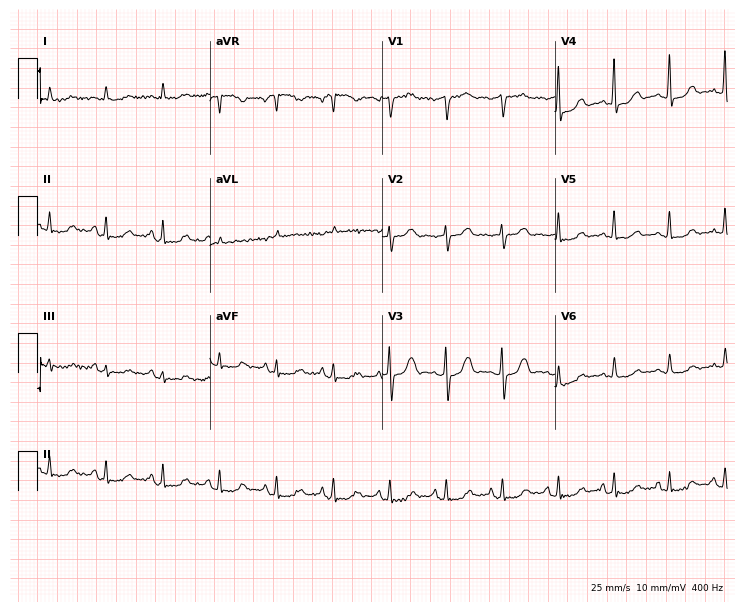
ECG — a 74-year-old woman. Screened for six findings — first-degree AV block, right bundle branch block, left bundle branch block, sinus bradycardia, atrial fibrillation, sinus tachycardia — none is recorded.